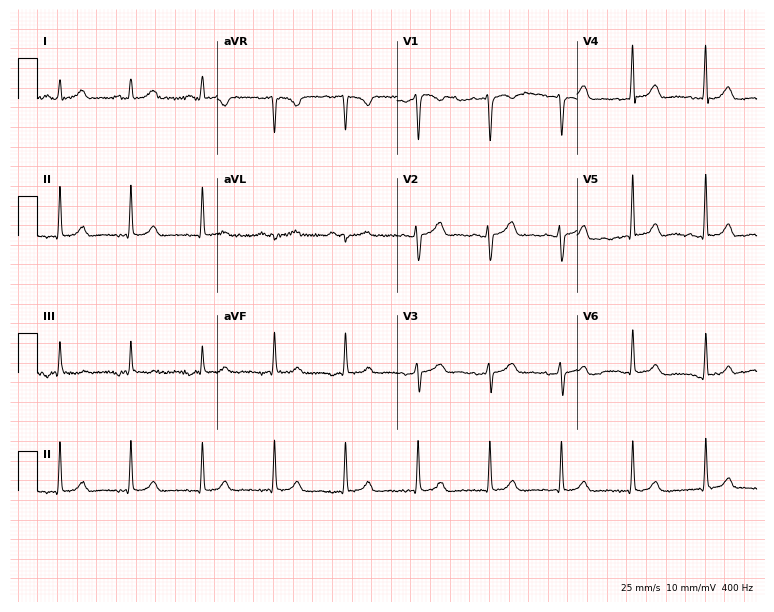
12-lead ECG from a woman, 47 years old. No first-degree AV block, right bundle branch block (RBBB), left bundle branch block (LBBB), sinus bradycardia, atrial fibrillation (AF) or sinus tachycardia recorded for this tracing. Other findings, if any, are not listed.